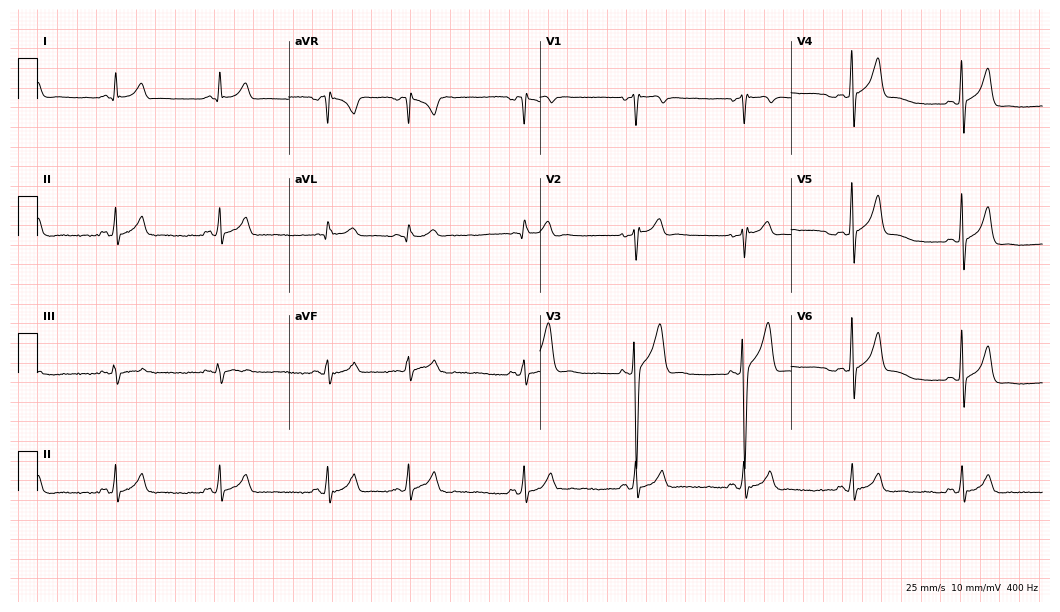
12-lead ECG from a male patient, 52 years old. Recorded interpretation: within normal limits.